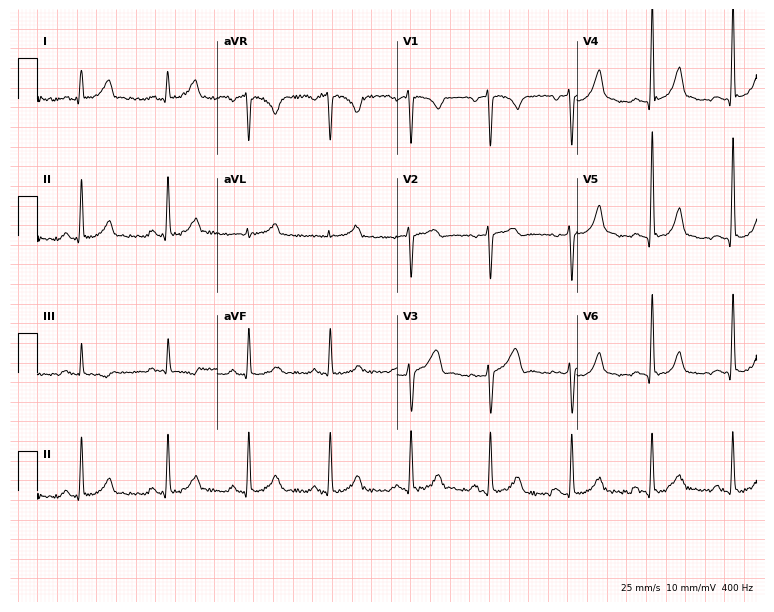
Electrocardiogram (7.3-second recording at 400 Hz), a 26-year-old man. Of the six screened findings (first-degree AV block, right bundle branch block (RBBB), left bundle branch block (LBBB), sinus bradycardia, atrial fibrillation (AF), sinus tachycardia), none is recorded.